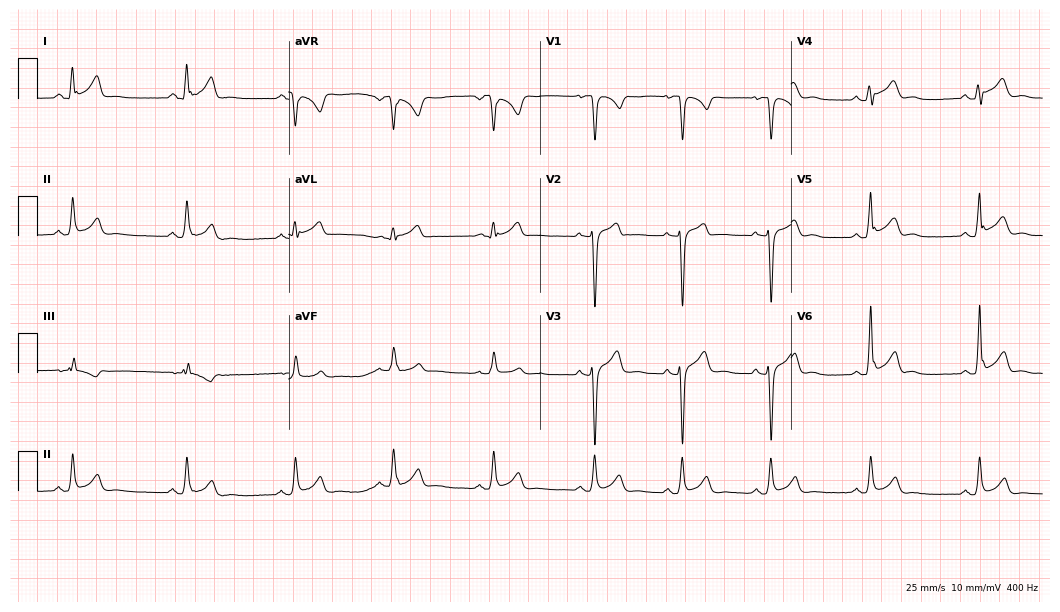
12-lead ECG (10.2-second recording at 400 Hz) from a 22-year-old male patient. Screened for six findings — first-degree AV block, right bundle branch block, left bundle branch block, sinus bradycardia, atrial fibrillation, sinus tachycardia — none is recorded. Findings outside these six are not listed.